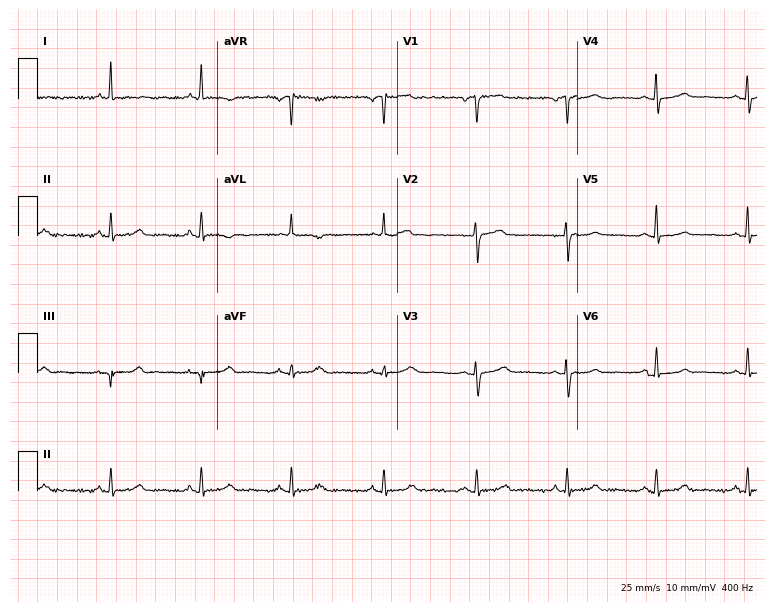
12-lead ECG from a woman, 64 years old. Labelled as a normal ECG.